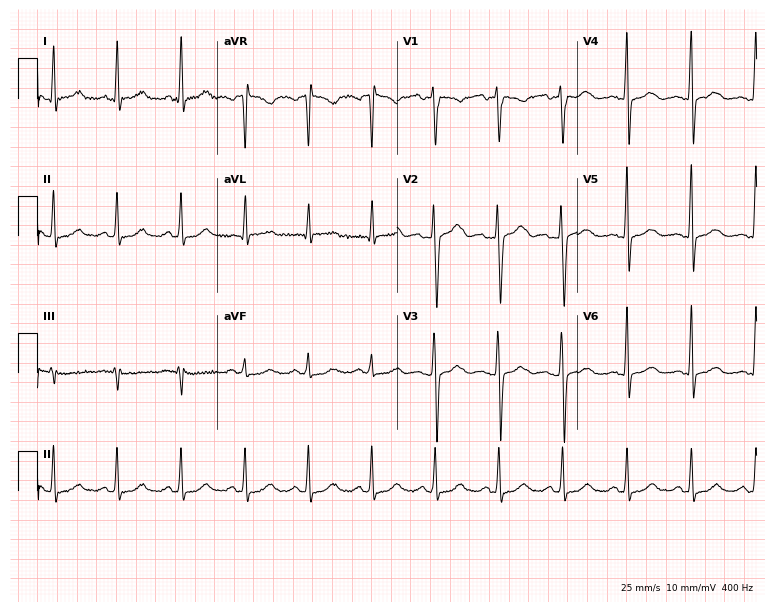
12-lead ECG from a 22-year-old female. Labelled as a normal ECG.